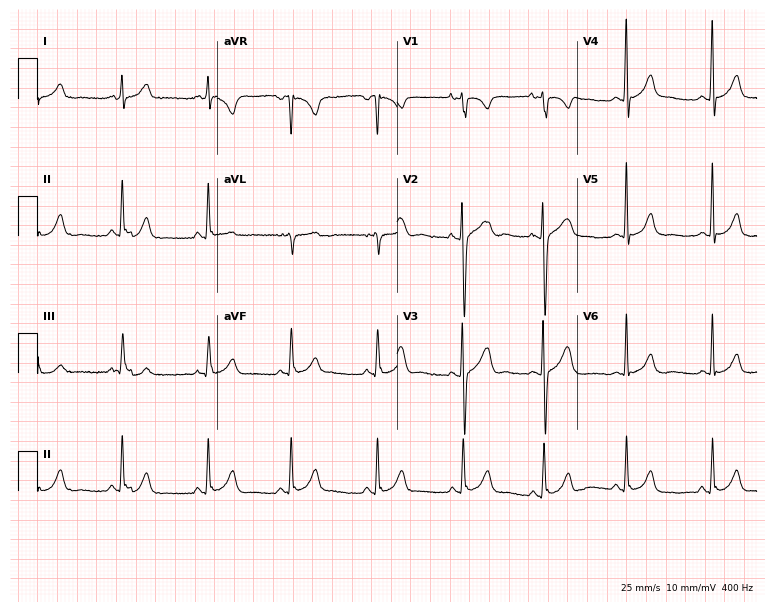
Electrocardiogram, a 17-year-old man. Of the six screened findings (first-degree AV block, right bundle branch block, left bundle branch block, sinus bradycardia, atrial fibrillation, sinus tachycardia), none is recorded.